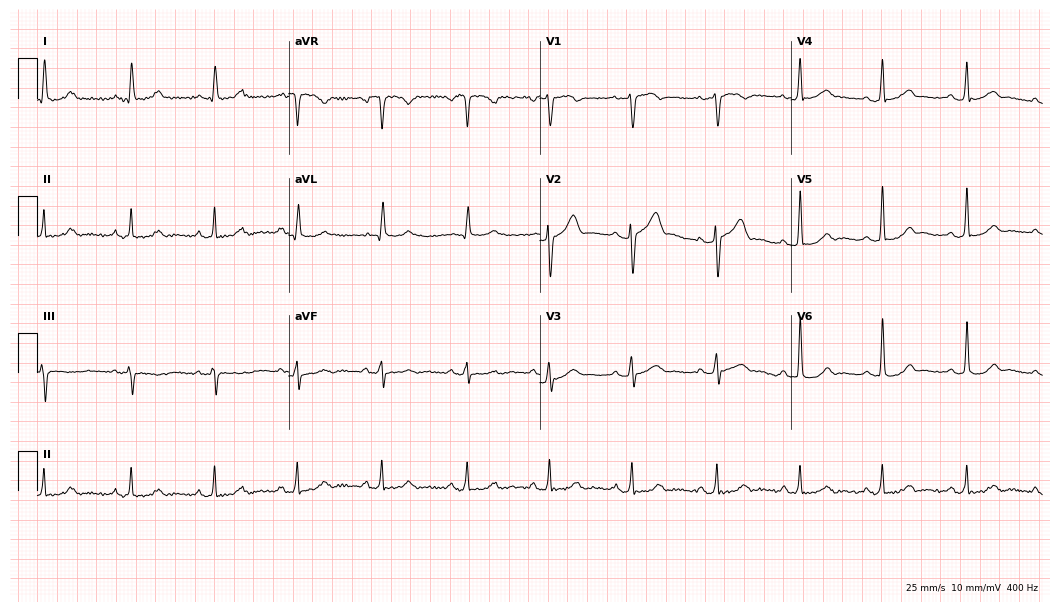
ECG (10.2-second recording at 400 Hz) — a 47-year-old man. Labelled as a normal ECG.